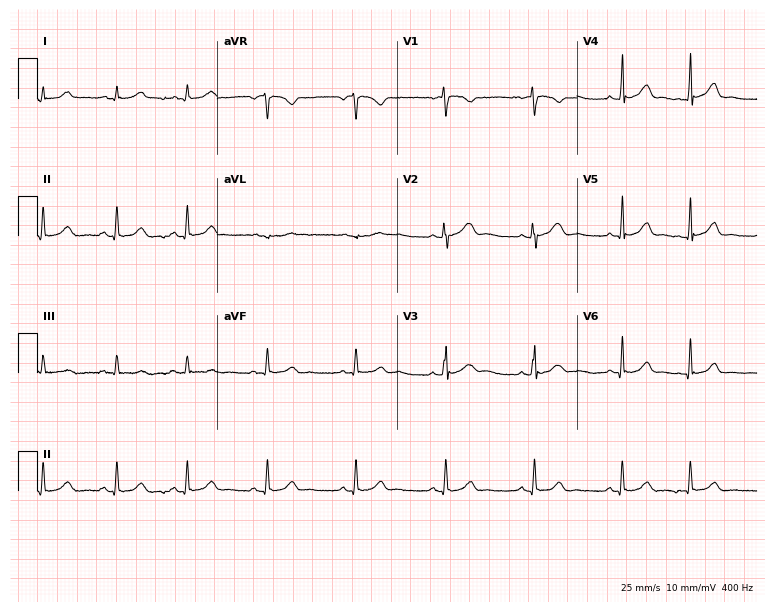
Standard 12-lead ECG recorded from a 22-year-old woman (7.3-second recording at 400 Hz). Read as a normal ECG.